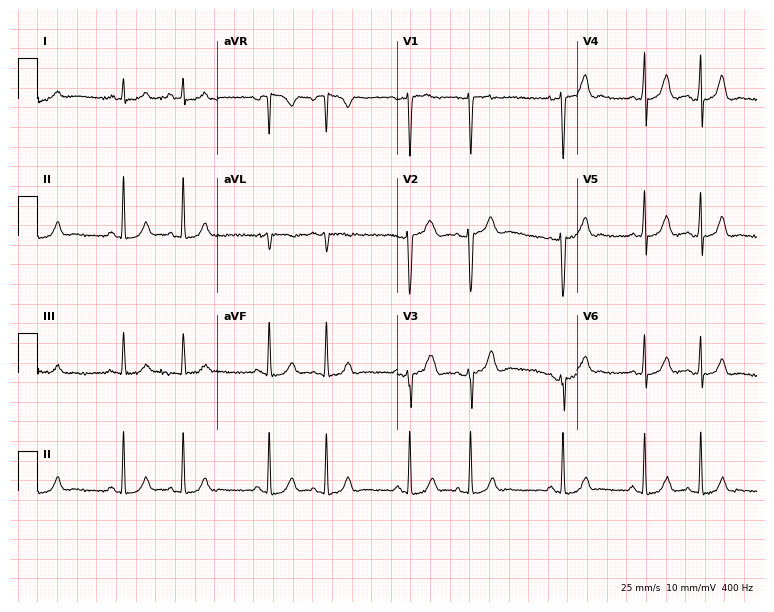
Resting 12-lead electrocardiogram. Patient: a female, 19 years old. None of these six findings is recorded: first-degree AV block, right bundle branch block, left bundle branch block, sinus bradycardia, atrial fibrillation, sinus tachycardia.